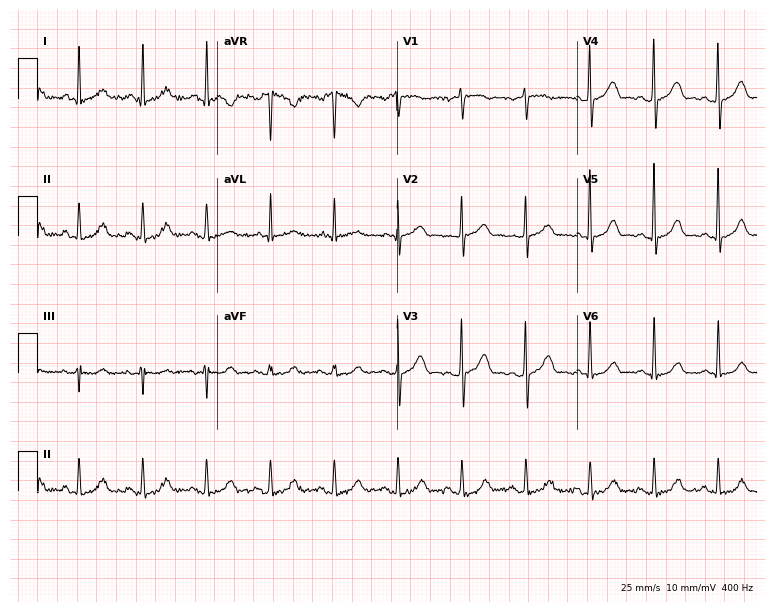
Resting 12-lead electrocardiogram (7.3-second recording at 400 Hz). Patient: a 67-year-old female. None of these six findings is recorded: first-degree AV block, right bundle branch block (RBBB), left bundle branch block (LBBB), sinus bradycardia, atrial fibrillation (AF), sinus tachycardia. Other findings, if any, are not listed.